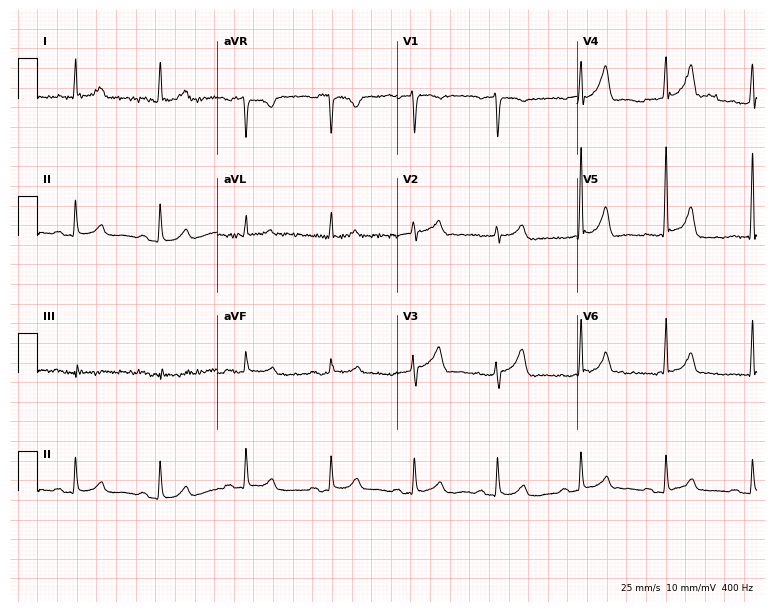
12-lead ECG from a male, 63 years old. Labelled as a normal ECG.